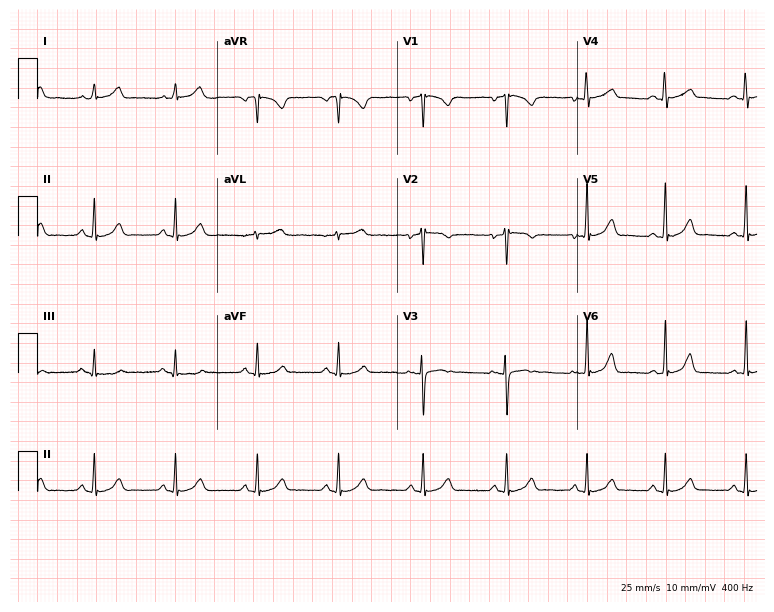
Electrocardiogram, a female patient, 30 years old. Overall reading on record: normal ECG.